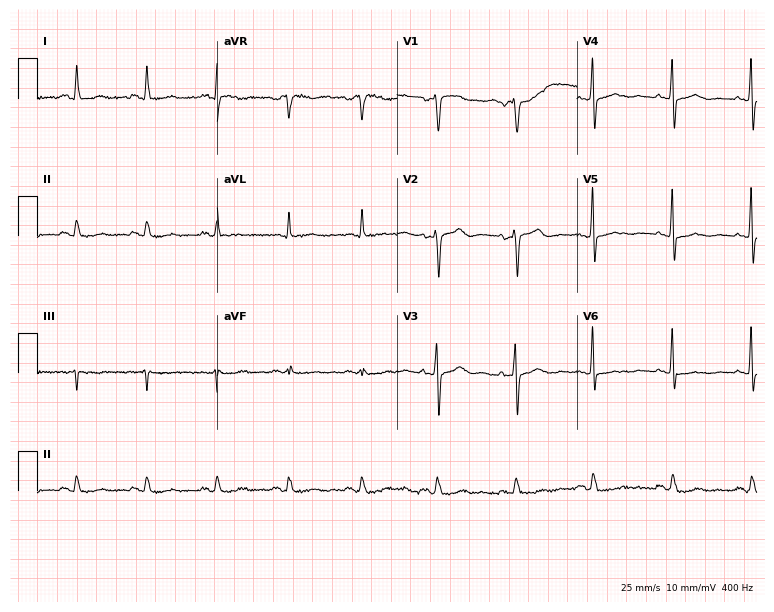
Resting 12-lead electrocardiogram (7.3-second recording at 400 Hz). Patient: a 48-year-old female. None of these six findings is recorded: first-degree AV block, right bundle branch block (RBBB), left bundle branch block (LBBB), sinus bradycardia, atrial fibrillation (AF), sinus tachycardia. Only these six findings were labelled.